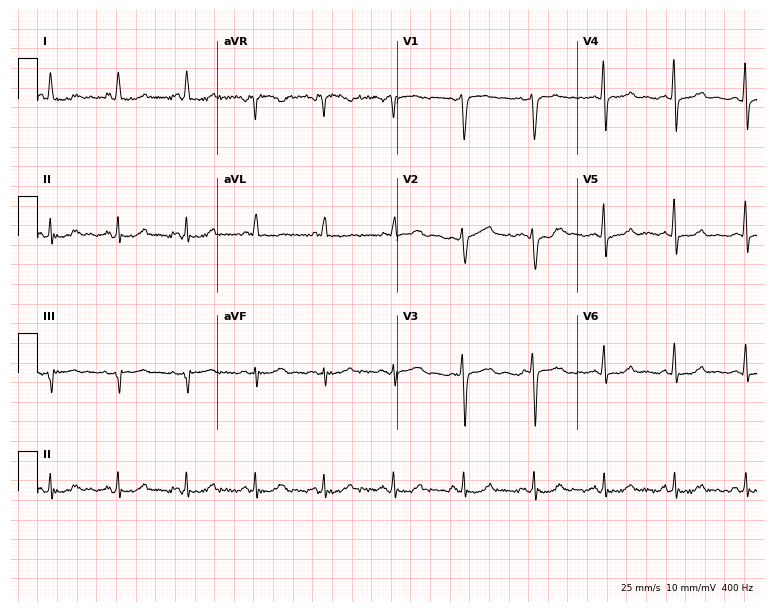
Standard 12-lead ECG recorded from a 49-year-old woman. Read as a normal ECG.